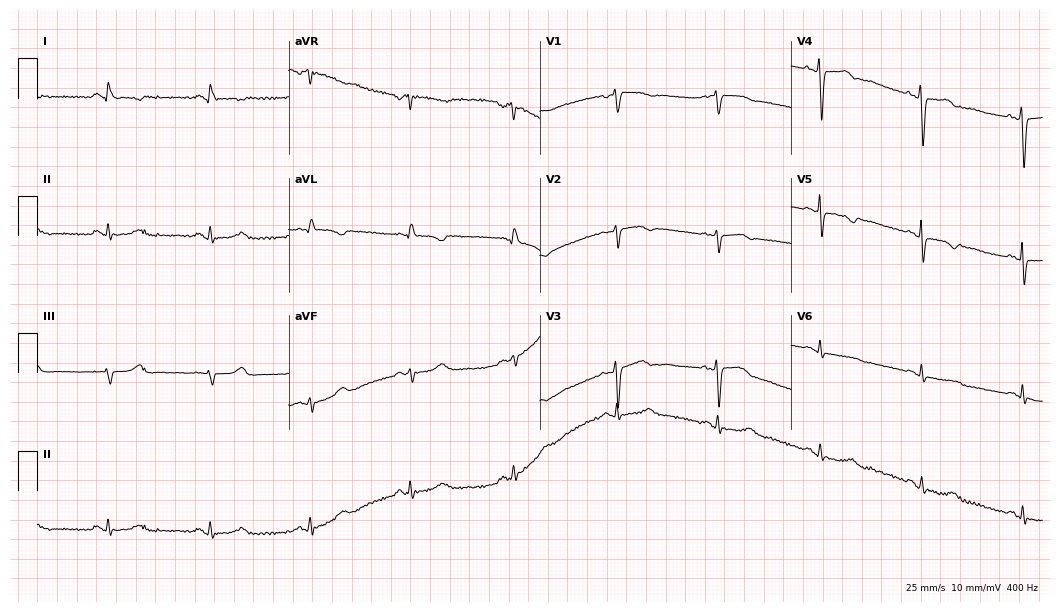
12-lead ECG (10.2-second recording at 400 Hz) from a 53-year-old woman. Screened for six findings — first-degree AV block, right bundle branch block, left bundle branch block, sinus bradycardia, atrial fibrillation, sinus tachycardia — none is recorded.